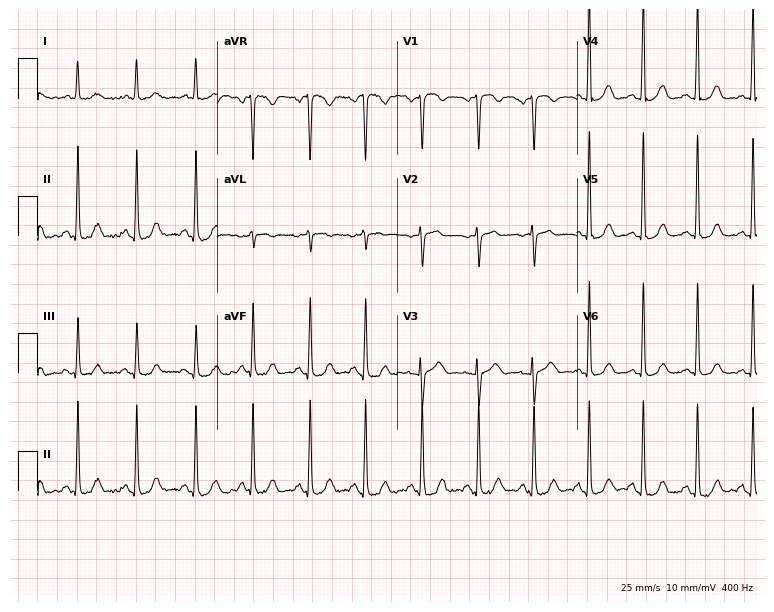
12-lead ECG (7.3-second recording at 400 Hz) from a 53-year-old female. Findings include sinus tachycardia (a sinus rate of 100 beats per minute or more).